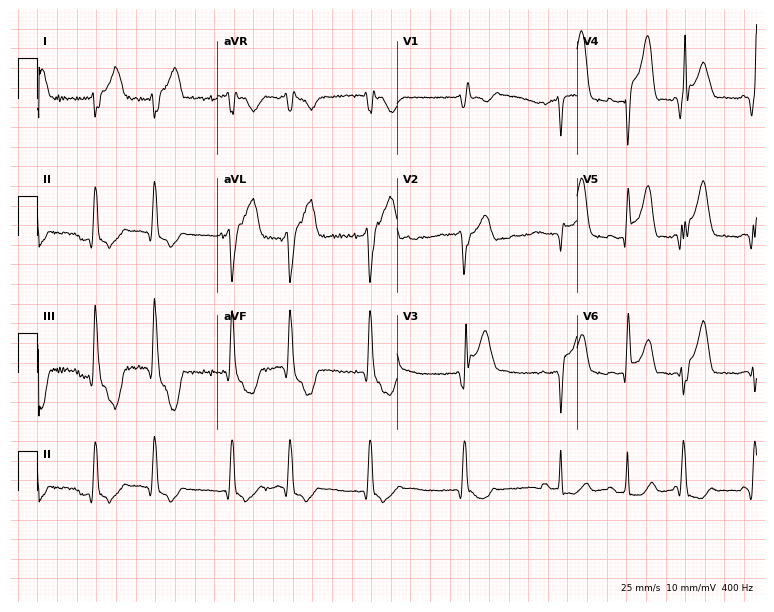
Resting 12-lead electrocardiogram (7.3-second recording at 400 Hz). Patient: a 49-year-old male. None of these six findings is recorded: first-degree AV block, right bundle branch block, left bundle branch block, sinus bradycardia, atrial fibrillation, sinus tachycardia.